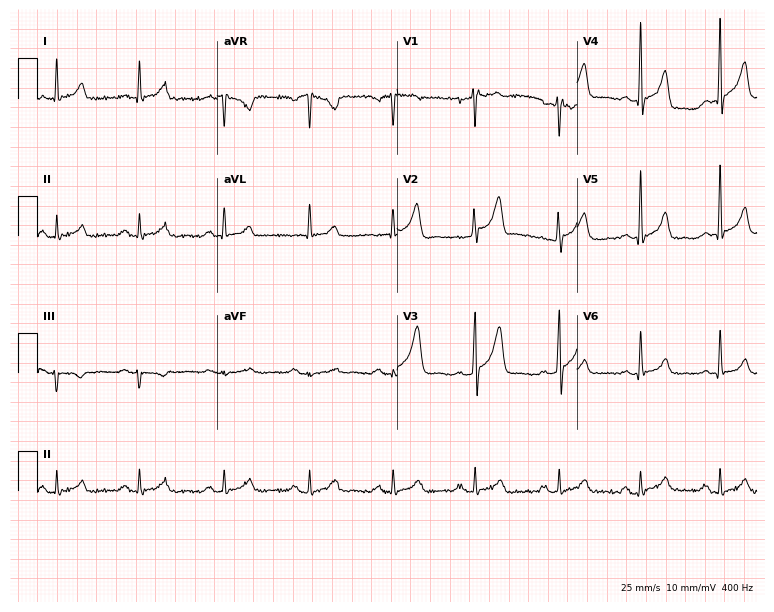
Electrocardiogram (7.3-second recording at 400 Hz), a 44-year-old male patient. Of the six screened findings (first-degree AV block, right bundle branch block, left bundle branch block, sinus bradycardia, atrial fibrillation, sinus tachycardia), none is recorded. Findings outside these six are not listed.